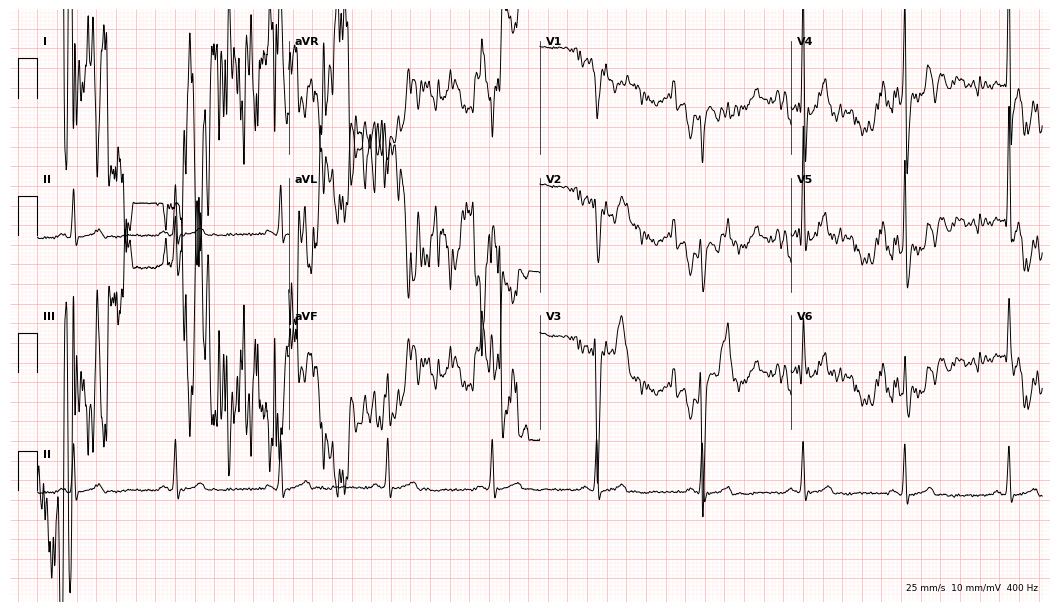
12-lead ECG from a man, 49 years old. No first-degree AV block, right bundle branch block, left bundle branch block, sinus bradycardia, atrial fibrillation or sinus tachycardia recorded for this tracing.